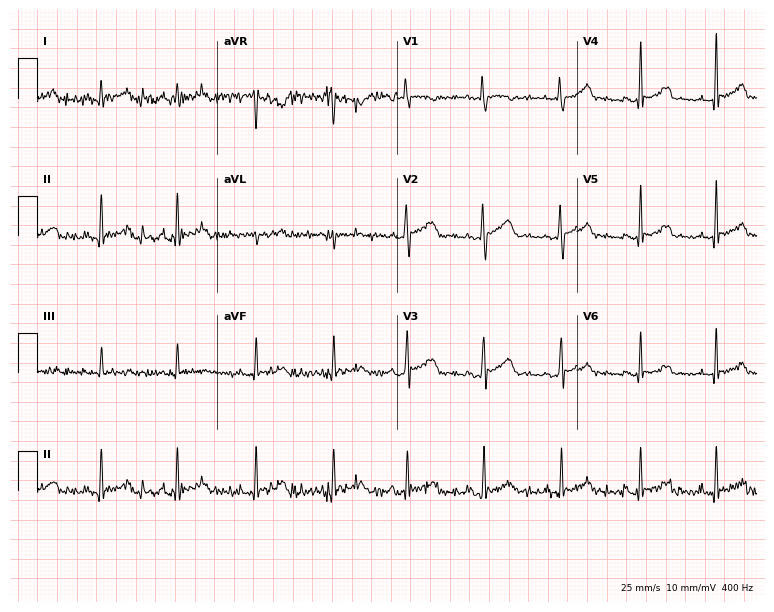
Electrocardiogram, a female, 31 years old. Of the six screened findings (first-degree AV block, right bundle branch block, left bundle branch block, sinus bradycardia, atrial fibrillation, sinus tachycardia), none is recorded. Findings outside these six are not listed.